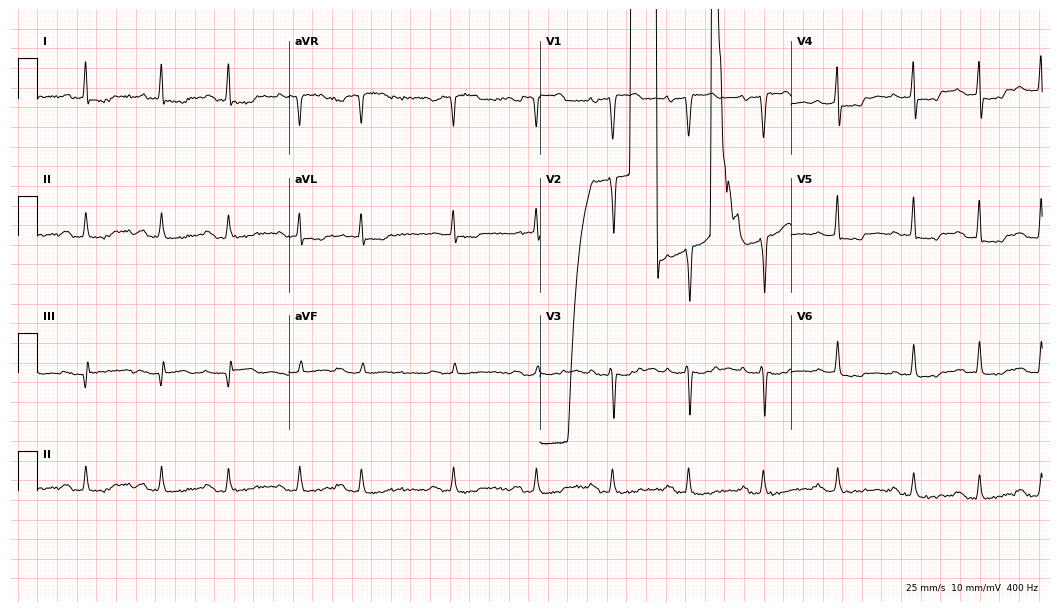
Resting 12-lead electrocardiogram. Patient: an 80-year-old man. The tracing shows first-degree AV block, sinus tachycardia (a sinus rate of 100 beats per minute or more).